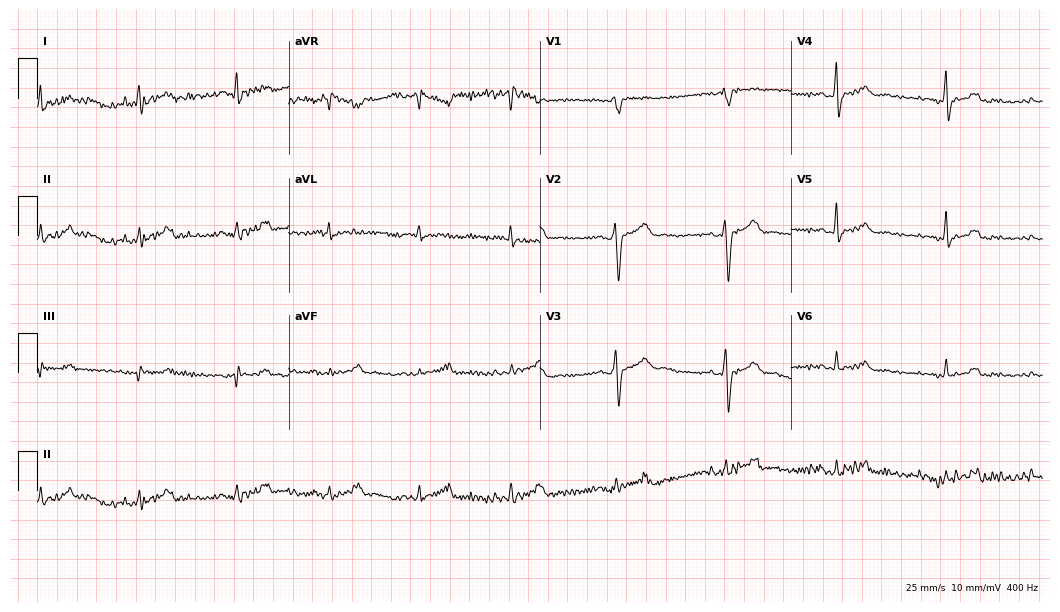
Standard 12-lead ECG recorded from a male patient, 27 years old. None of these six findings is recorded: first-degree AV block, right bundle branch block, left bundle branch block, sinus bradycardia, atrial fibrillation, sinus tachycardia. Other findings, if any, are not listed.